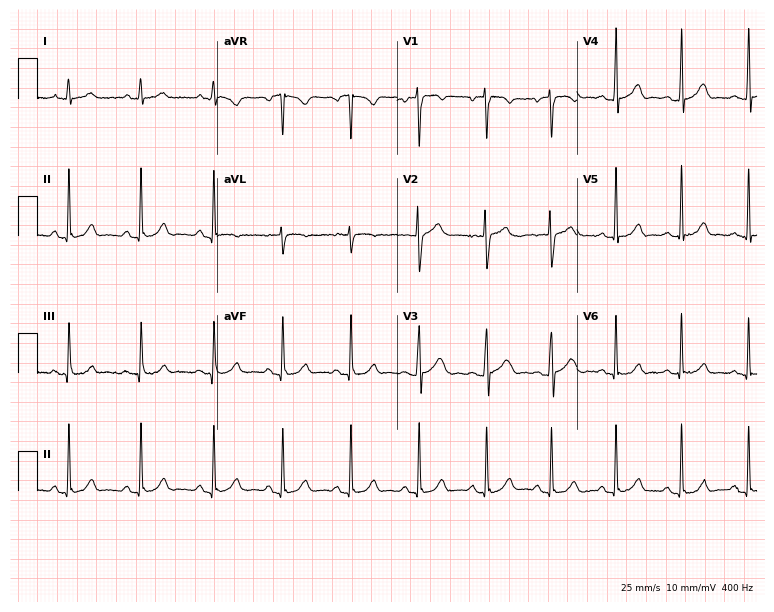
Electrocardiogram (7.3-second recording at 400 Hz), an 18-year-old woman. Overall reading on record: normal ECG.